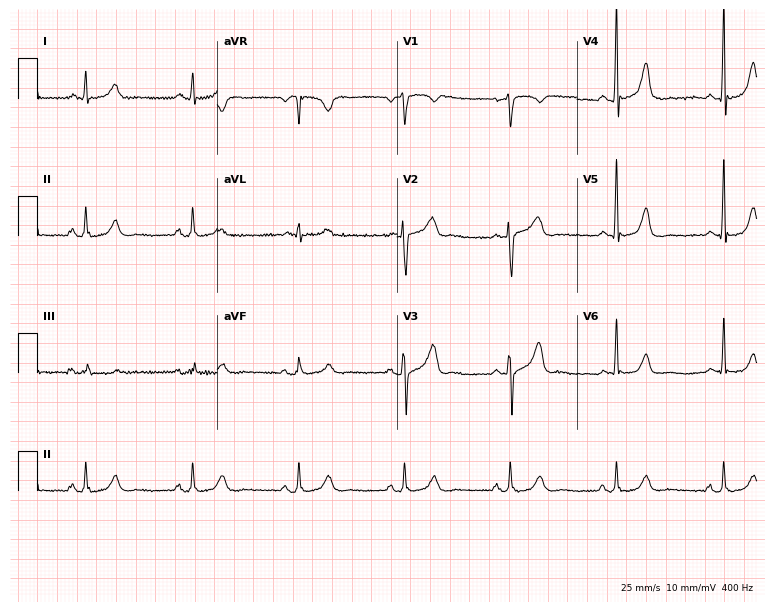
Resting 12-lead electrocardiogram. Patient: a male, 53 years old. Read as a normal ECG.